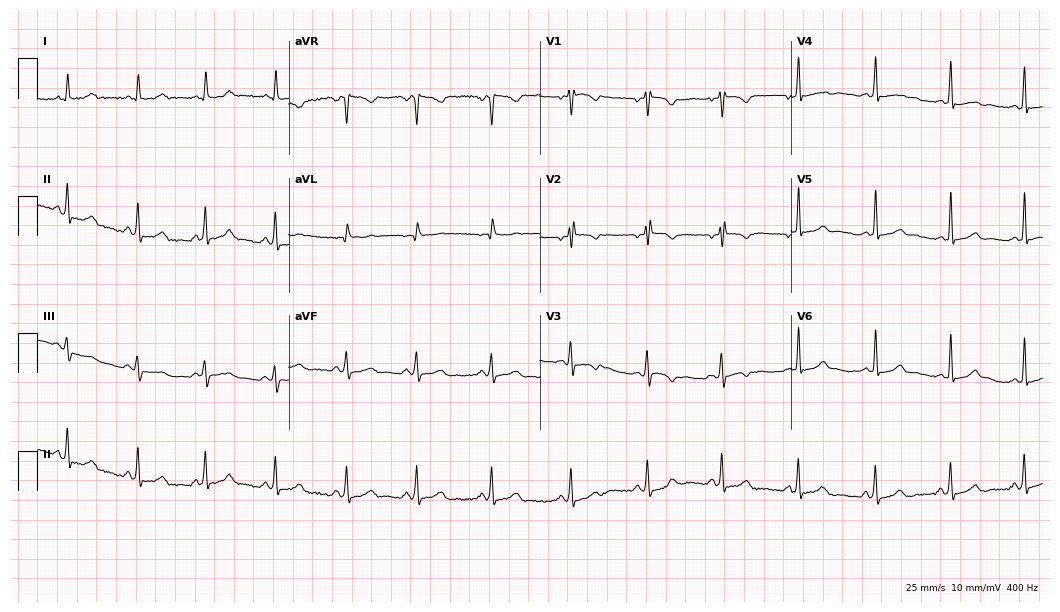
12-lead ECG (10.2-second recording at 400 Hz) from a 22-year-old female patient. Screened for six findings — first-degree AV block, right bundle branch block (RBBB), left bundle branch block (LBBB), sinus bradycardia, atrial fibrillation (AF), sinus tachycardia — none is recorded.